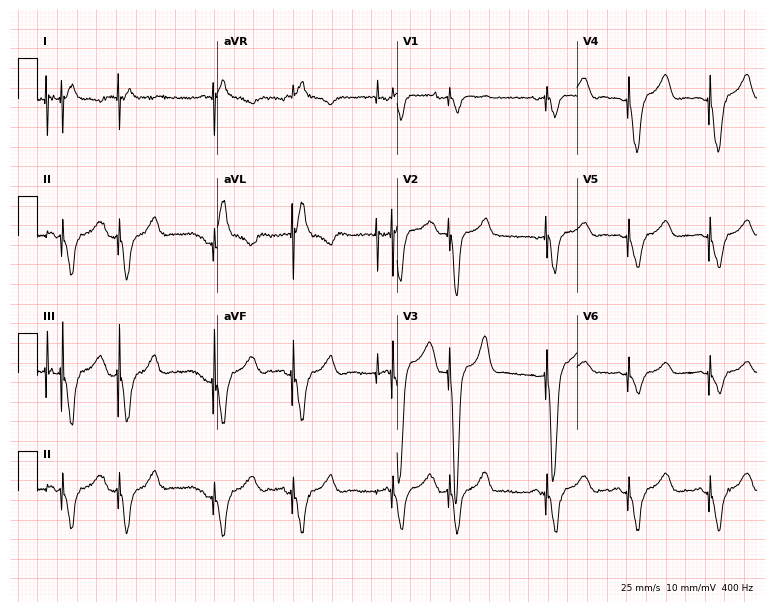
ECG — a 47-year-old woman. Screened for six findings — first-degree AV block, right bundle branch block (RBBB), left bundle branch block (LBBB), sinus bradycardia, atrial fibrillation (AF), sinus tachycardia — none is recorded. Findings outside these six are not listed.